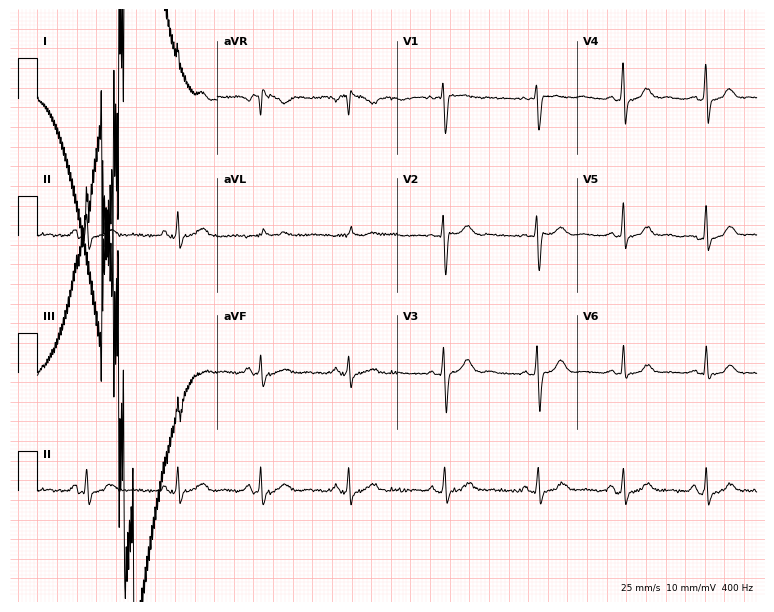
Standard 12-lead ECG recorded from a 45-year-old woman. None of these six findings is recorded: first-degree AV block, right bundle branch block (RBBB), left bundle branch block (LBBB), sinus bradycardia, atrial fibrillation (AF), sinus tachycardia.